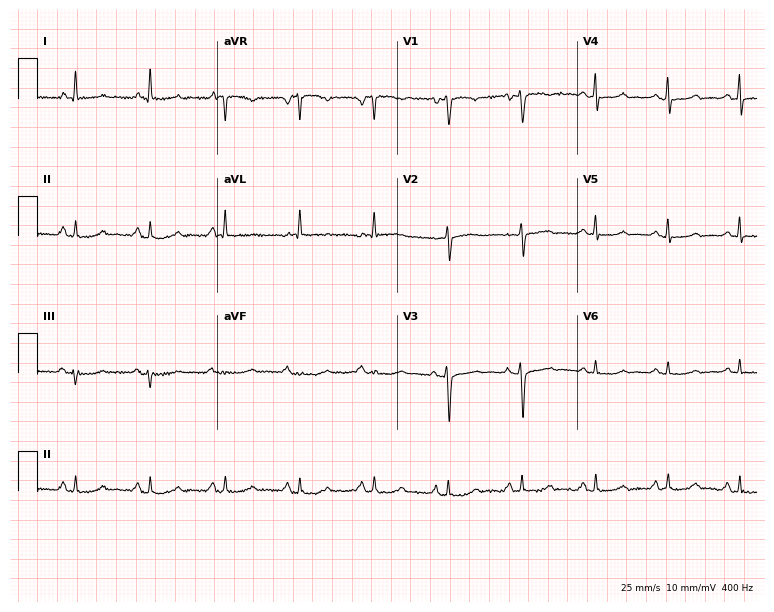
Electrocardiogram, a 78-year-old woman. Of the six screened findings (first-degree AV block, right bundle branch block (RBBB), left bundle branch block (LBBB), sinus bradycardia, atrial fibrillation (AF), sinus tachycardia), none is recorded.